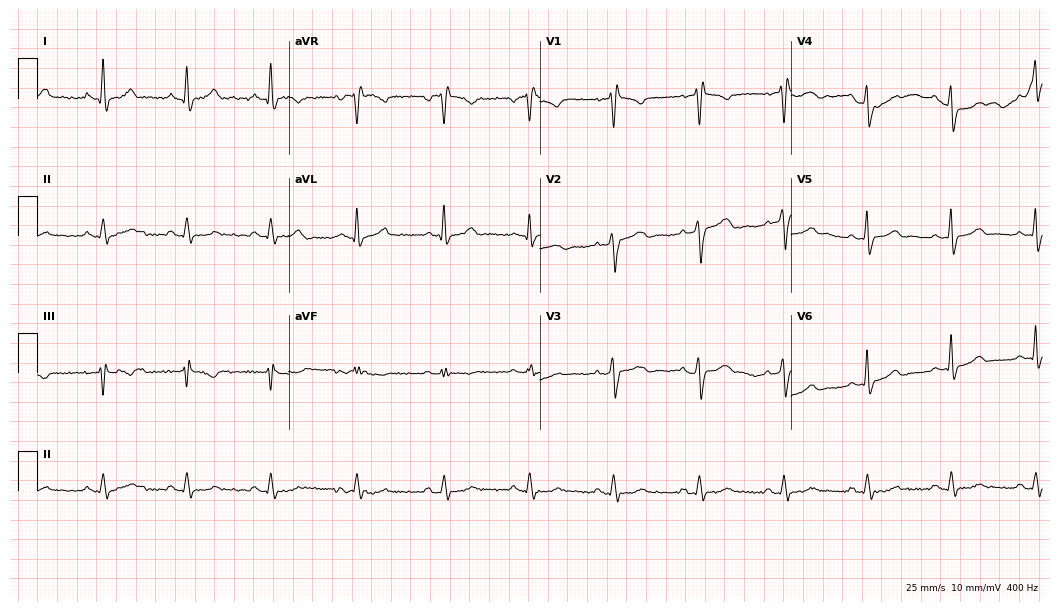
Resting 12-lead electrocardiogram (10.2-second recording at 400 Hz). Patient: a man, 42 years old. None of these six findings is recorded: first-degree AV block, right bundle branch block, left bundle branch block, sinus bradycardia, atrial fibrillation, sinus tachycardia. Other findings, if any, are not listed.